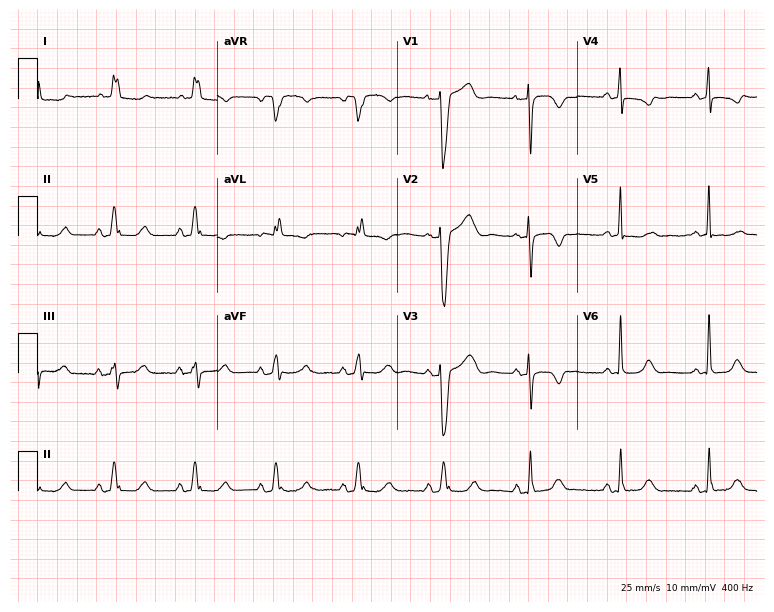
Electrocardiogram, a female, 76 years old. Of the six screened findings (first-degree AV block, right bundle branch block, left bundle branch block, sinus bradycardia, atrial fibrillation, sinus tachycardia), none is recorded. Findings outside these six are not listed.